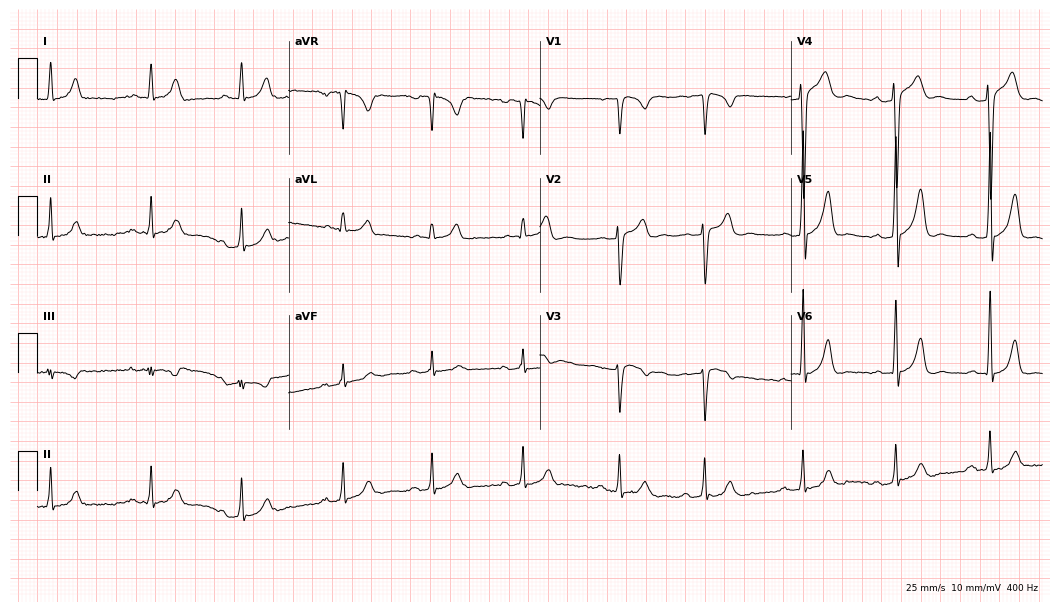
Standard 12-lead ECG recorded from a 22-year-old male patient. Read as a normal ECG.